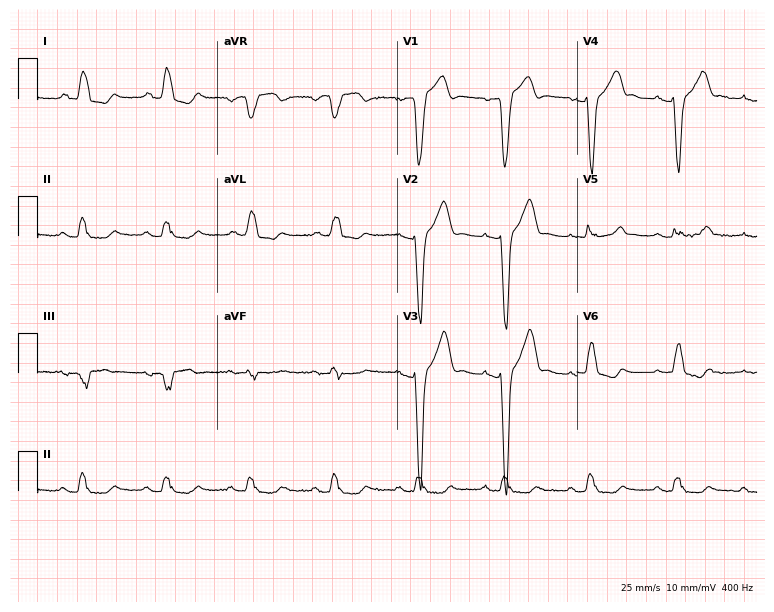
ECG (7.3-second recording at 400 Hz) — a male patient, 79 years old. Findings include left bundle branch block.